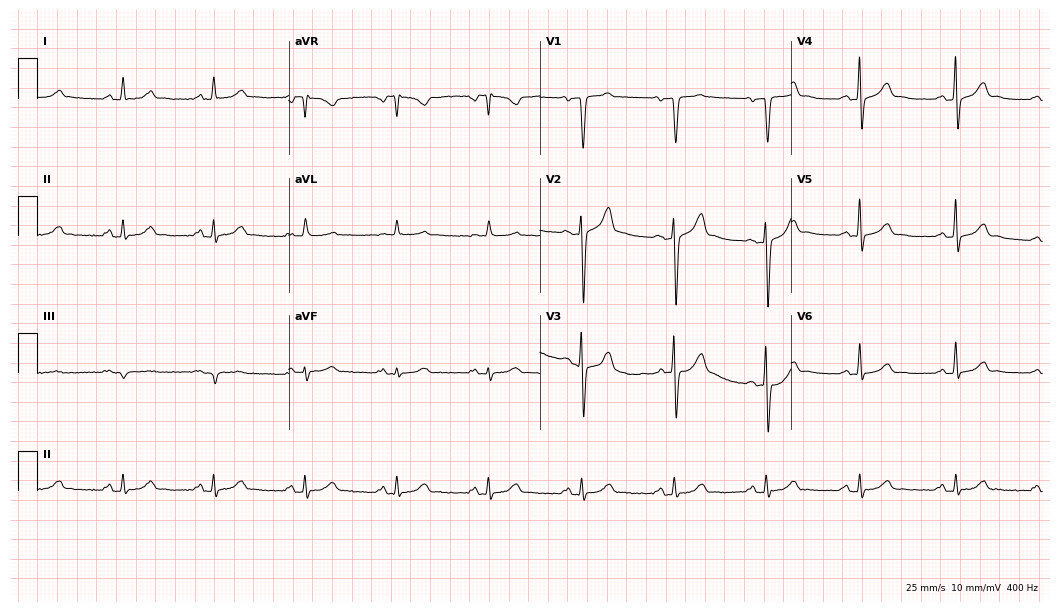
12-lead ECG from a 58-year-old male patient (10.2-second recording at 400 Hz). Recorded interpretation: within normal limits.